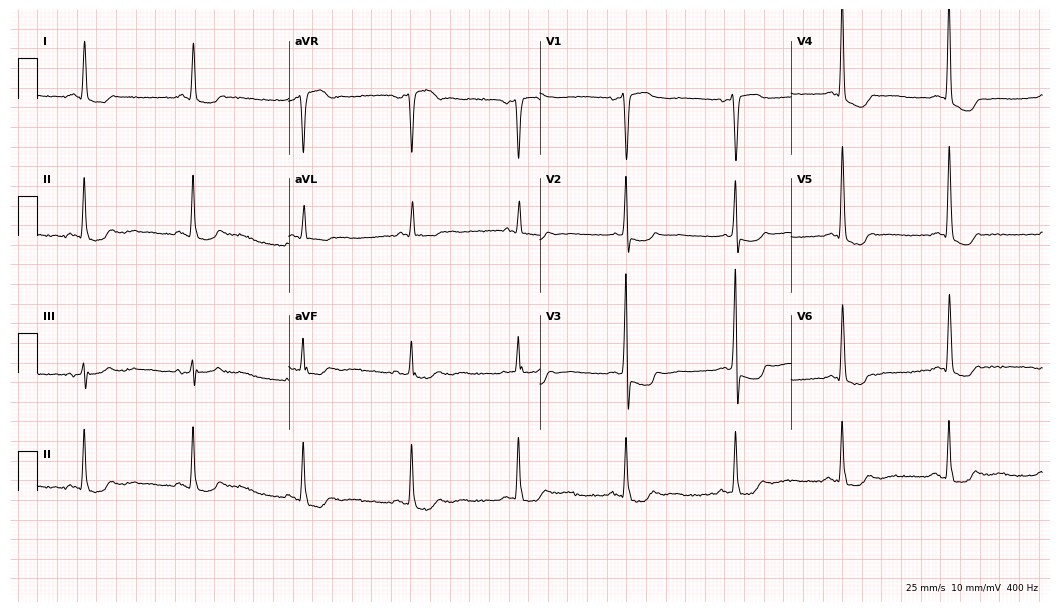
Standard 12-lead ECG recorded from an 83-year-old woman. Read as a normal ECG.